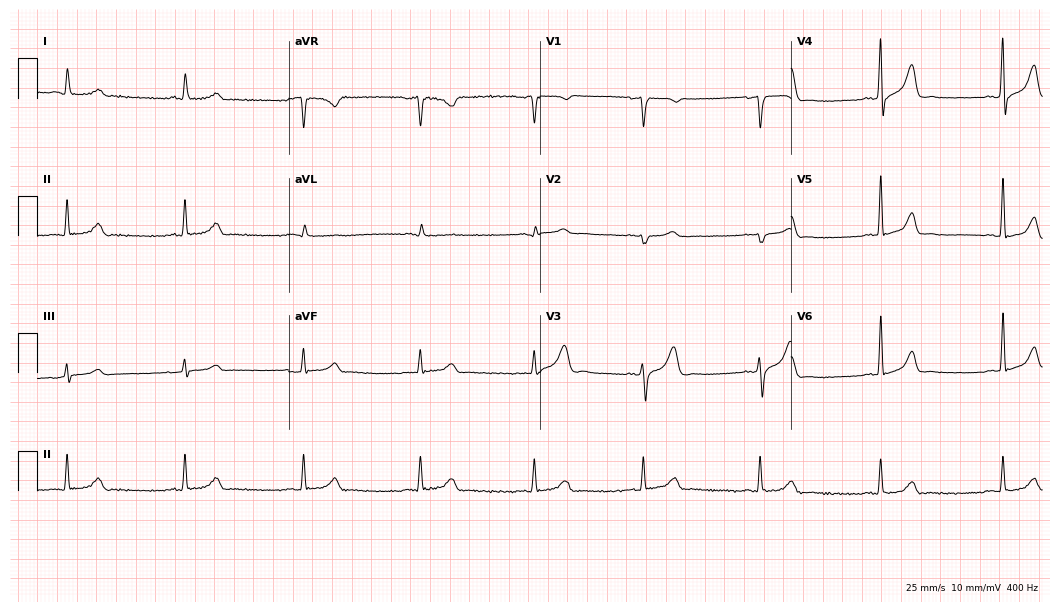
Resting 12-lead electrocardiogram. Patient: a 46-year-old male. The tracing shows sinus bradycardia (a sinus rate of 50 beats per minute or less).